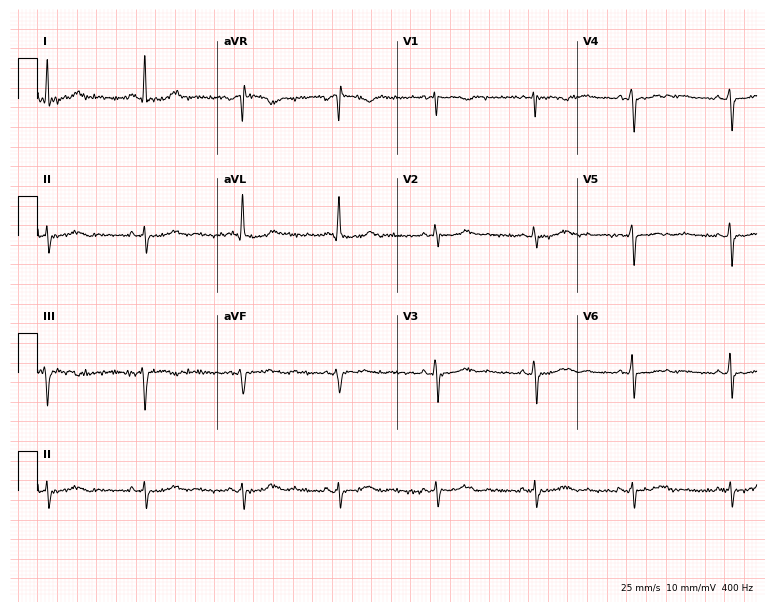
12-lead ECG from a female patient, 64 years old (7.3-second recording at 400 Hz). No first-degree AV block, right bundle branch block, left bundle branch block, sinus bradycardia, atrial fibrillation or sinus tachycardia recorded for this tracing.